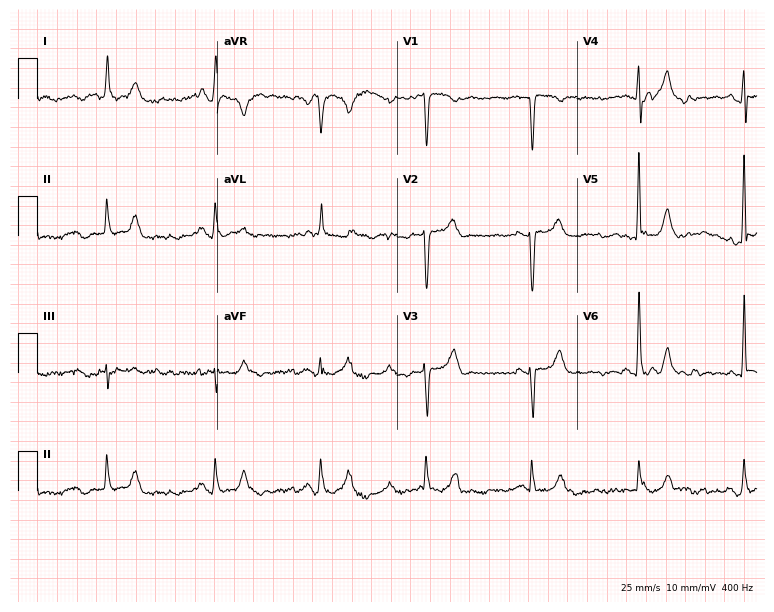
ECG — a male patient, 69 years old. Screened for six findings — first-degree AV block, right bundle branch block, left bundle branch block, sinus bradycardia, atrial fibrillation, sinus tachycardia — none is recorded. Only these six findings were labelled.